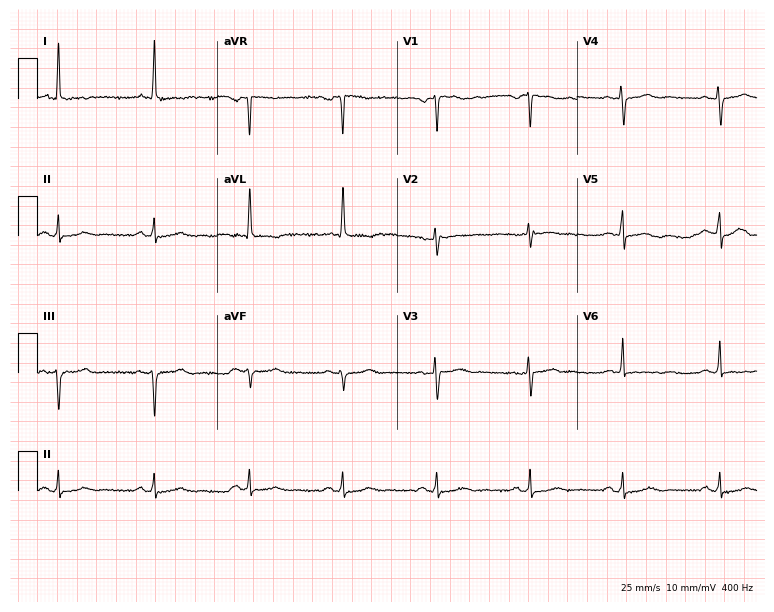
Electrocardiogram (7.3-second recording at 400 Hz), a female patient, 71 years old. Of the six screened findings (first-degree AV block, right bundle branch block, left bundle branch block, sinus bradycardia, atrial fibrillation, sinus tachycardia), none is recorded.